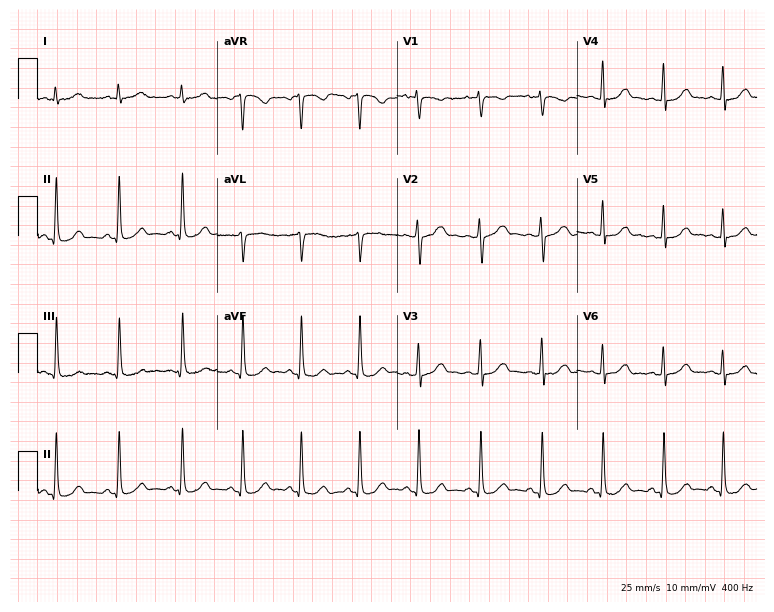
12-lead ECG from a female, 29 years old. Labelled as a normal ECG.